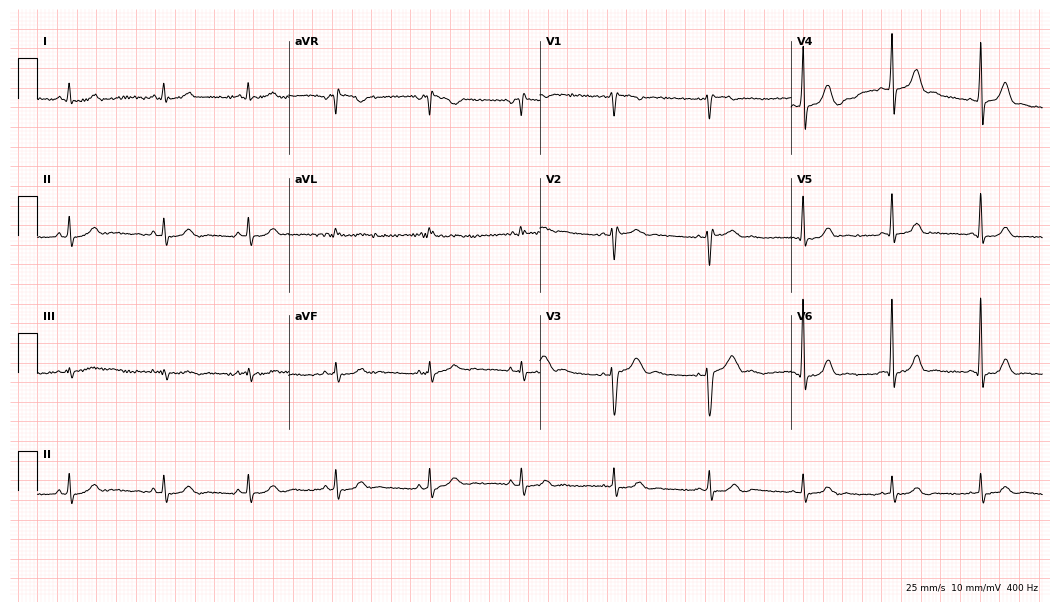
ECG — a female, 26 years old. Labelled as a normal ECG.